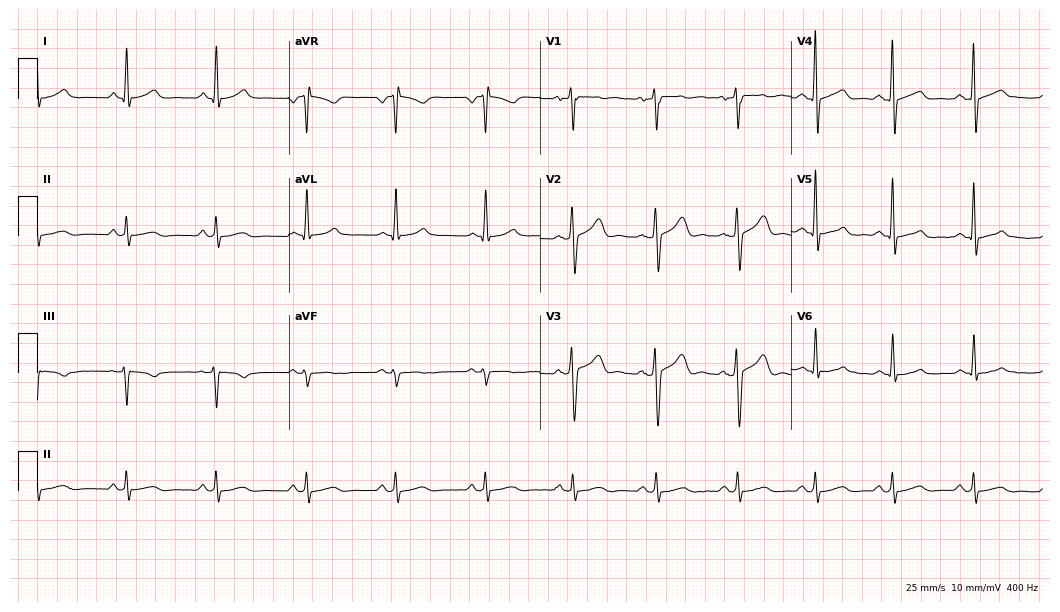
12-lead ECG from a 41-year-old male patient. Recorded interpretation: within normal limits.